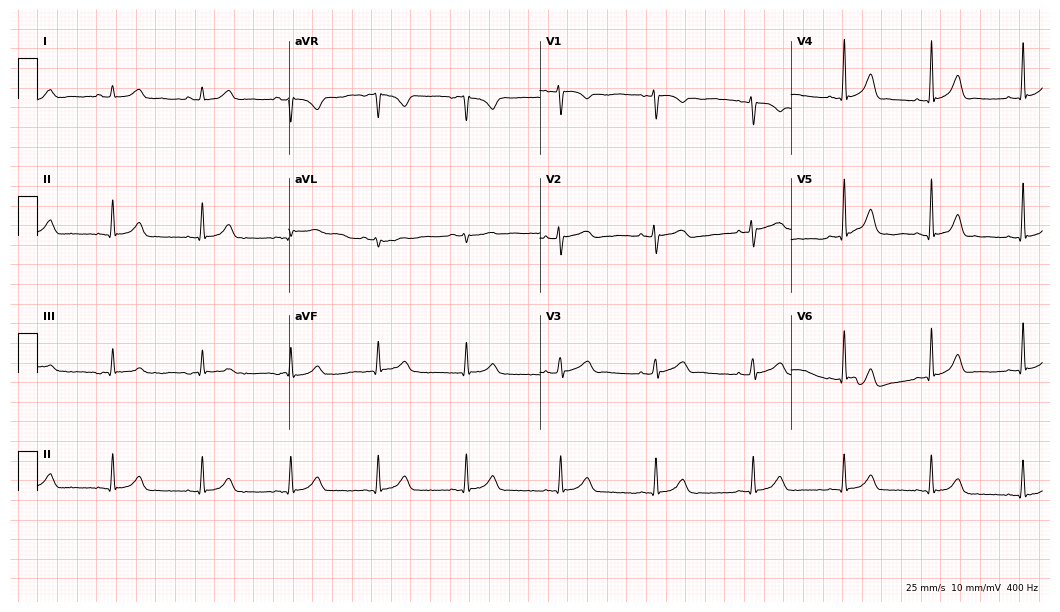
Resting 12-lead electrocardiogram. Patient: a female, 18 years old. Read as a normal ECG.